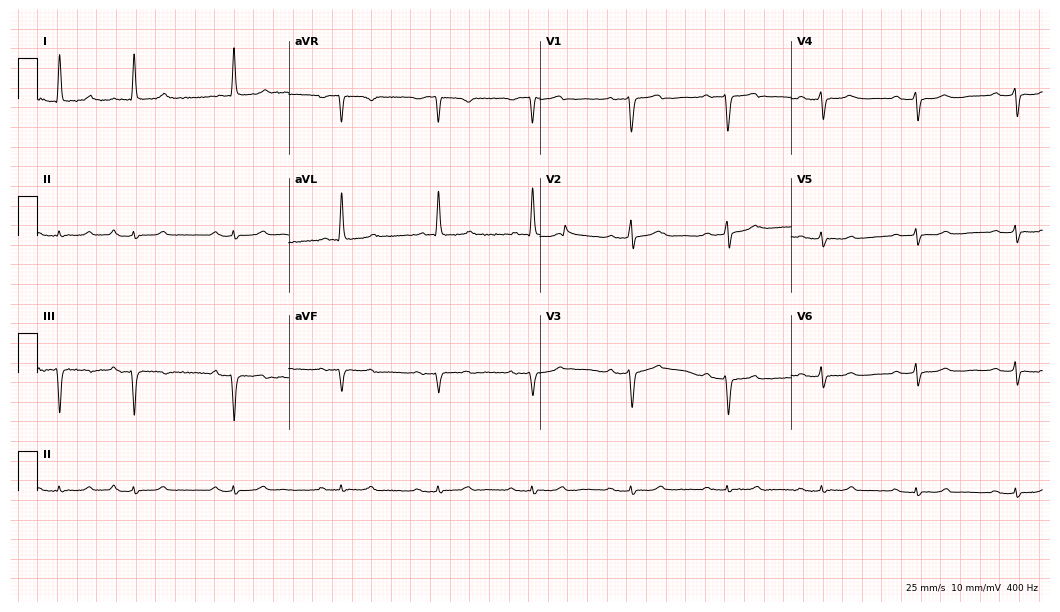
ECG (10.2-second recording at 400 Hz) — a 66-year-old female patient. Screened for six findings — first-degree AV block, right bundle branch block, left bundle branch block, sinus bradycardia, atrial fibrillation, sinus tachycardia — none is recorded. Other findings, if any, are not listed.